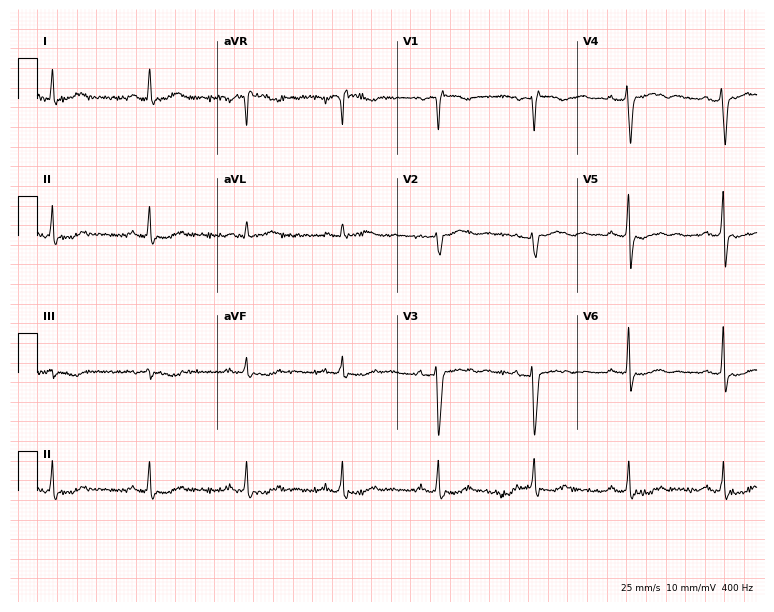
12-lead ECG from a 54-year-old female patient. Screened for six findings — first-degree AV block, right bundle branch block, left bundle branch block, sinus bradycardia, atrial fibrillation, sinus tachycardia — none is recorded. Only these six findings were labelled.